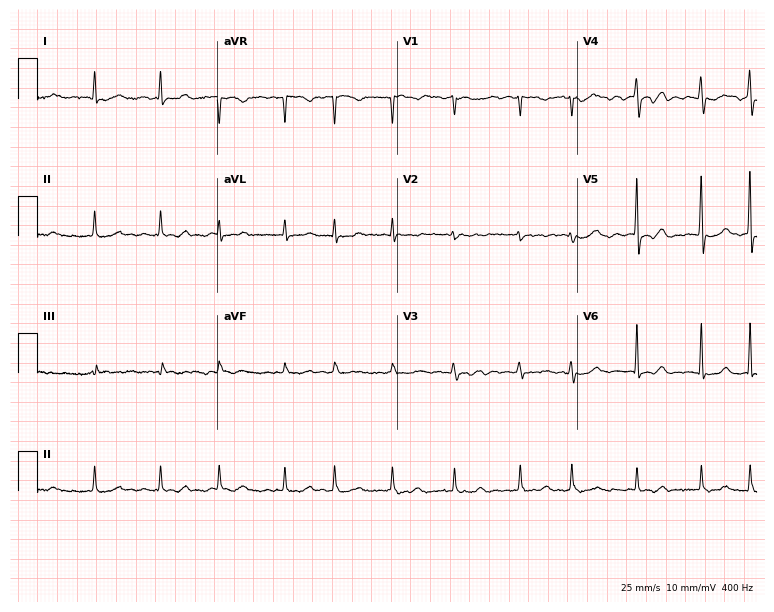
12-lead ECG from an 81-year-old female. Shows atrial fibrillation.